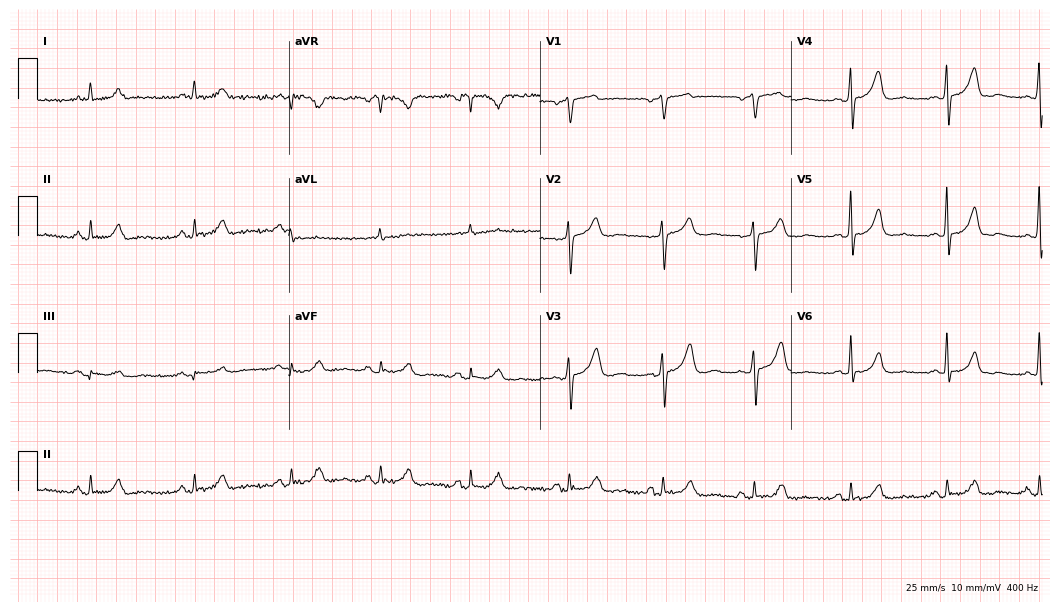
12-lead ECG from a 53-year-old female patient. Recorded interpretation: within normal limits.